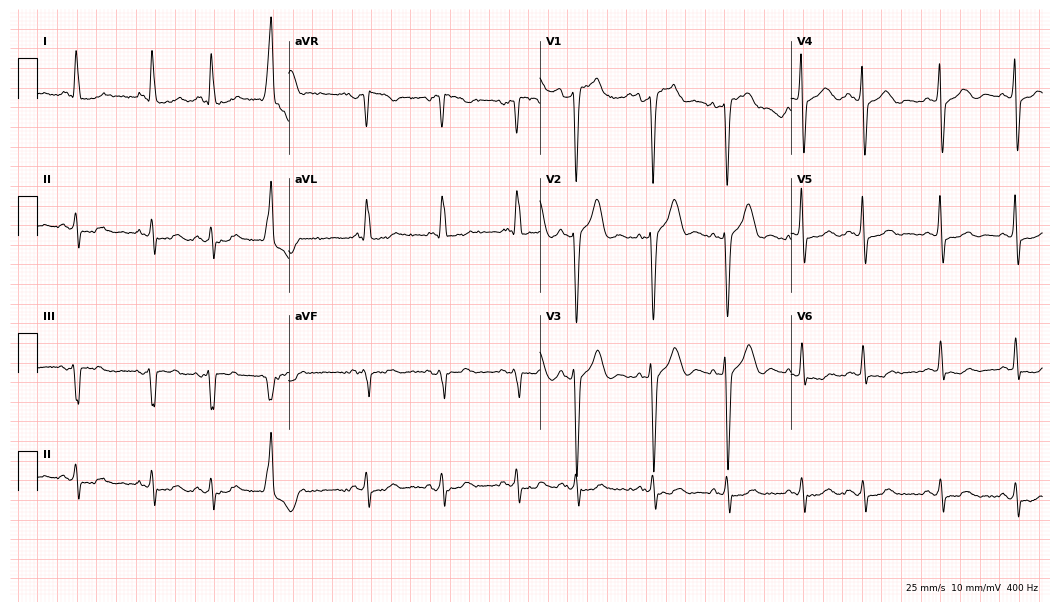
Electrocardiogram, a 72-year-old male. Of the six screened findings (first-degree AV block, right bundle branch block (RBBB), left bundle branch block (LBBB), sinus bradycardia, atrial fibrillation (AF), sinus tachycardia), none is recorded.